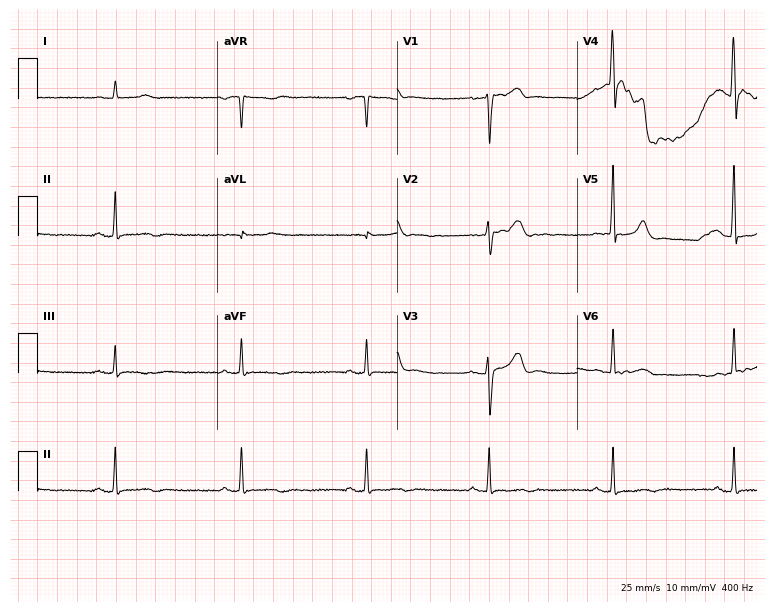
12-lead ECG from a male patient, 72 years old (7.3-second recording at 400 Hz). Shows sinus bradycardia (a sinus rate of 50 beats per minute or less).